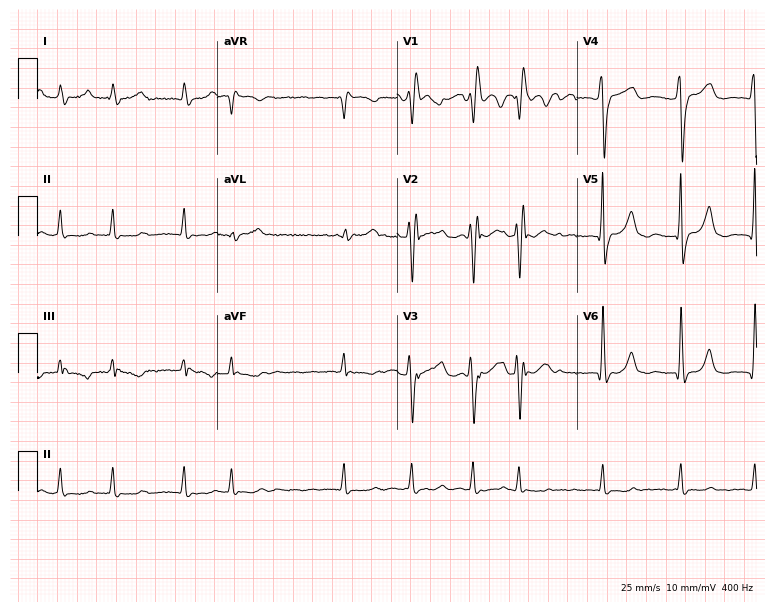
Standard 12-lead ECG recorded from a 67-year-old male (7.3-second recording at 400 Hz). The tracing shows right bundle branch block, atrial fibrillation.